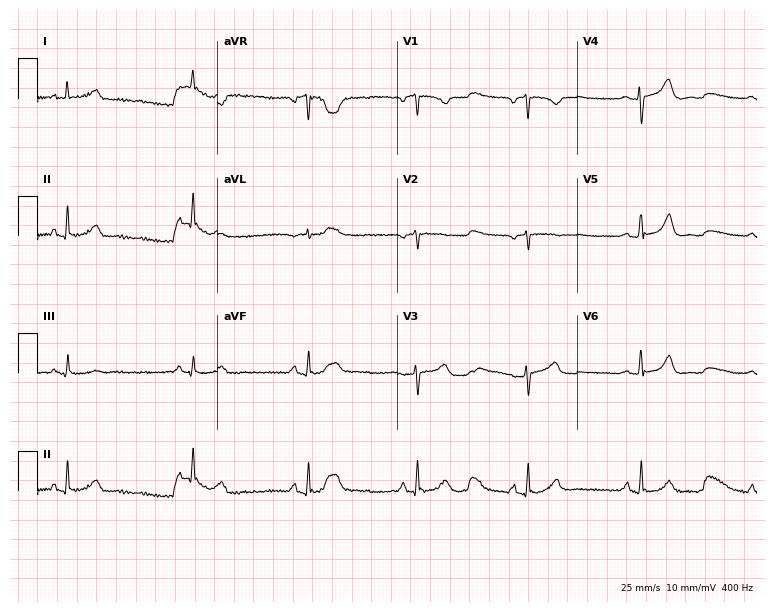
Standard 12-lead ECG recorded from a female, 41 years old. Read as a normal ECG.